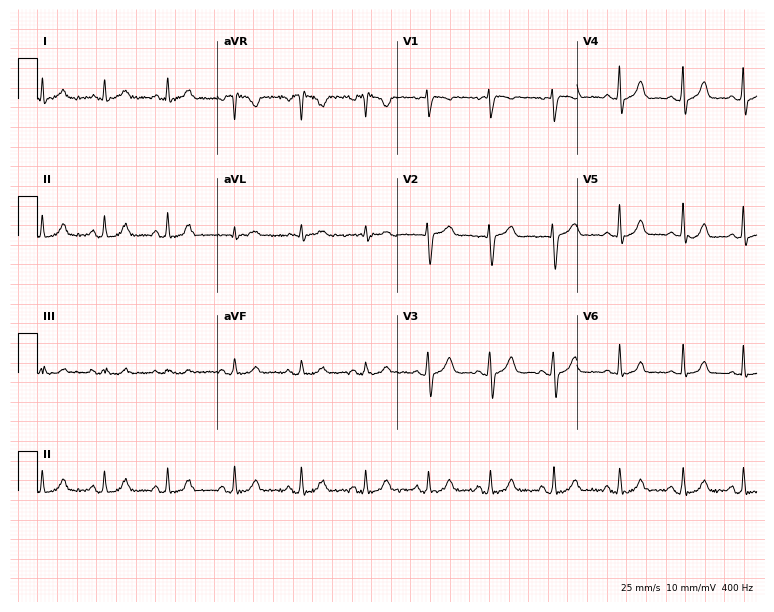
Resting 12-lead electrocardiogram (7.3-second recording at 400 Hz). Patient: a female, 45 years old. None of these six findings is recorded: first-degree AV block, right bundle branch block, left bundle branch block, sinus bradycardia, atrial fibrillation, sinus tachycardia. Other findings, if any, are not listed.